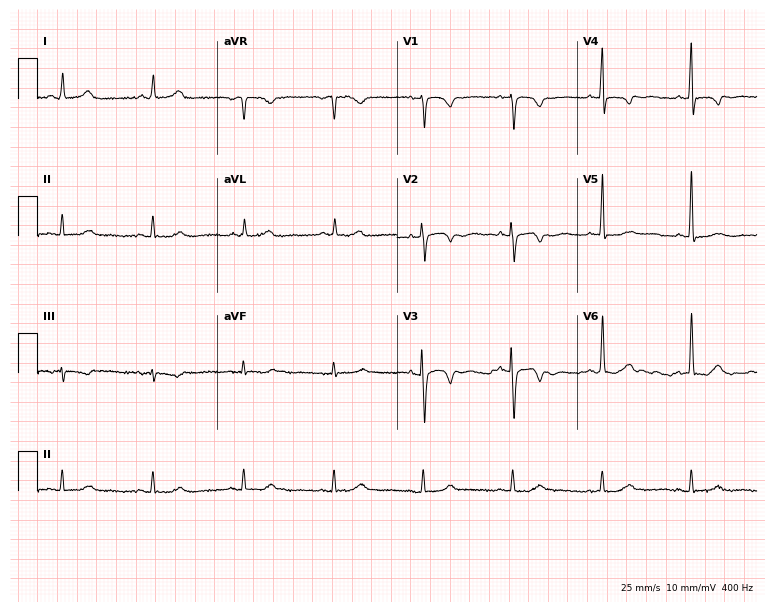
12-lead ECG from a 72-year-old woman. Screened for six findings — first-degree AV block, right bundle branch block, left bundle branch block, sinus bradycardia, atrial fibrillation, sinus tachycardia — none is recorded. Findings outside these six are not listed.